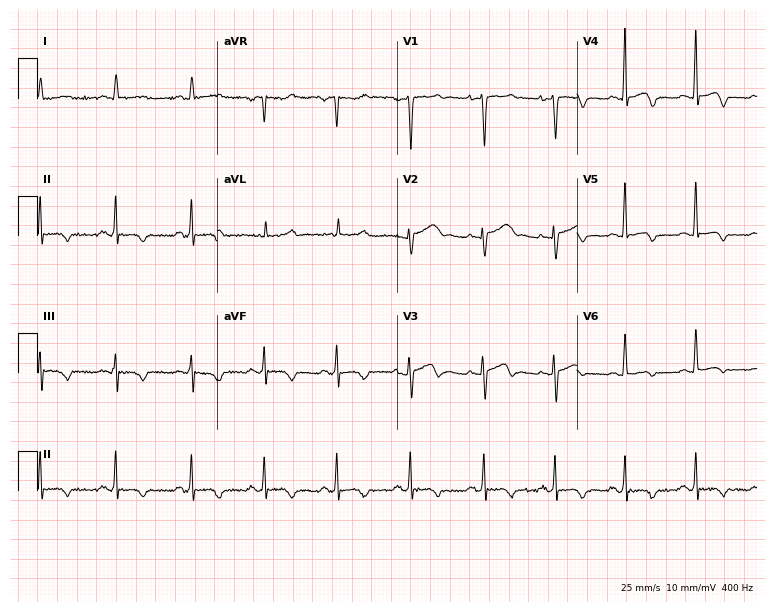
Standard 12-lead ECG recorded from a woman, 39 years old (7.3-second recording at 400 Hz). None of these six findings is recorded: first-degree AV block, right bundle branch block, left bundle branch block, sinus bradycardia, atrial fibrillation, sinus tachycardia. Findings outside these six are not listed.